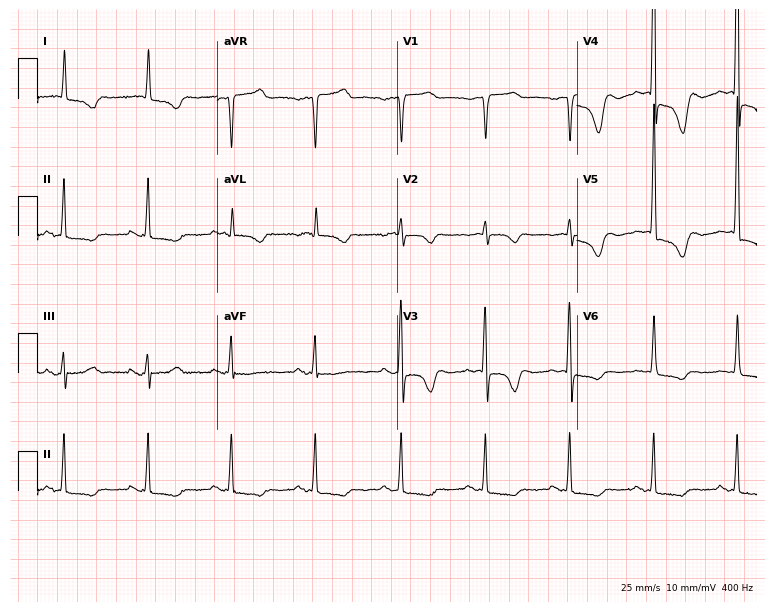
12-lead ECG from a 72-year-old woman. Screened for six findings — first-degree AV block, right bundle branch block, left bundle branch block, sinus bradycardia, atrial fibrillation, sinus tachycardia — none is recorded.